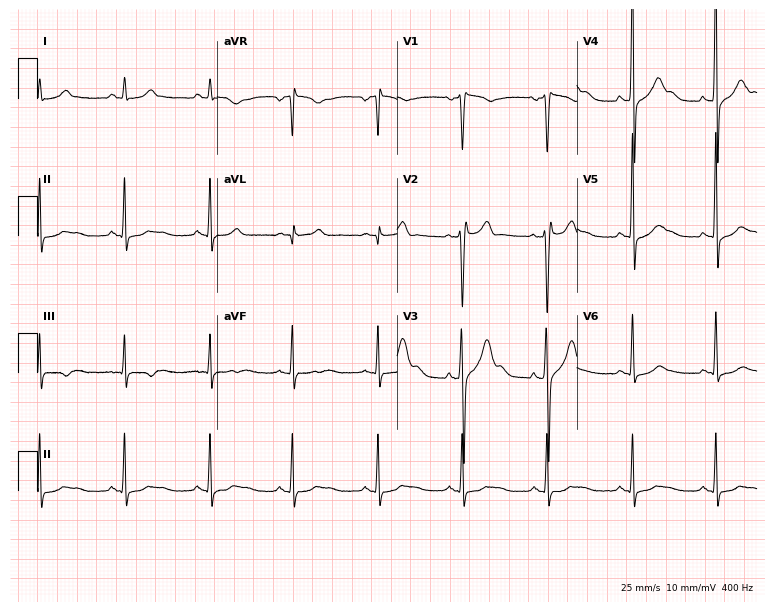
Standard 12-lead ECG recorded from a man, 31 years old. Read as a normal ECG.